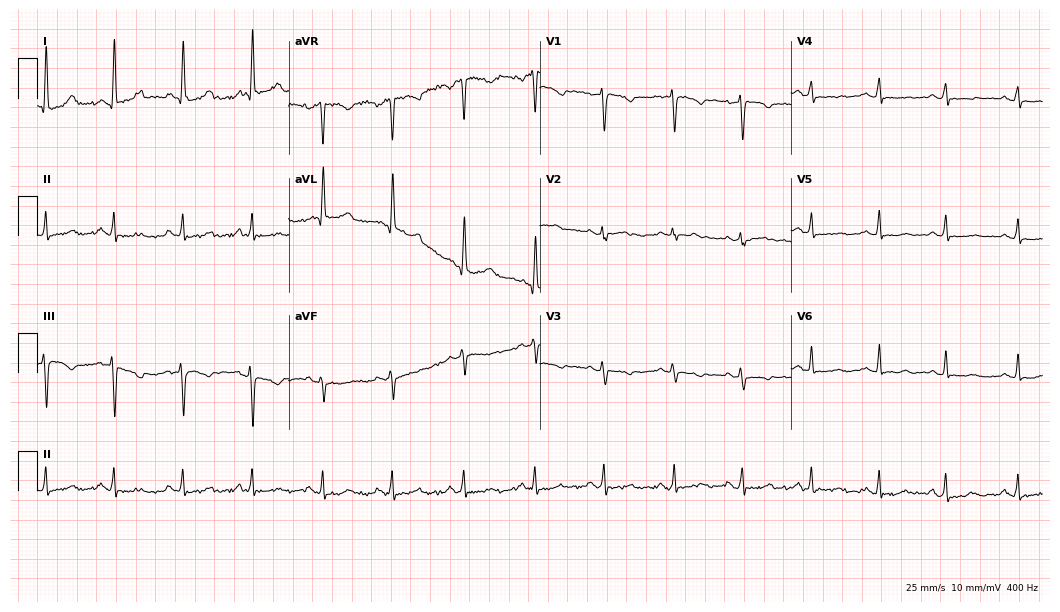
ECG — a woman, 41 years old. Screened for six findings — first-degree AV block, right bundle branch block (RBBB), left bundle branch block (LBBB), sinus bradycardia, atrial fibrillation (AF), sinus tachycardia — none is recorded.